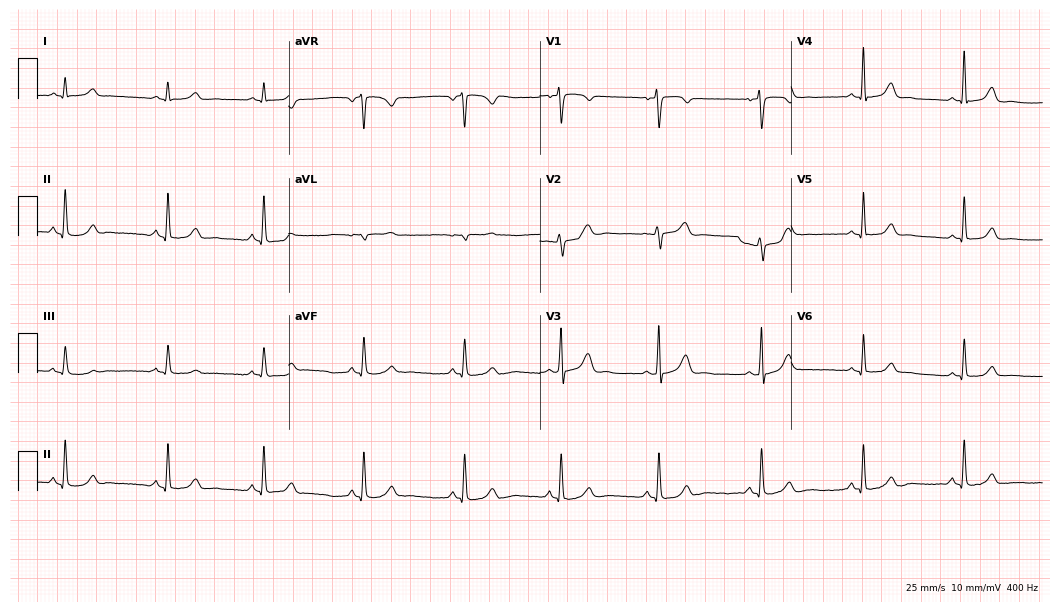
ECG — a 42-year-old female. Screened for six findings — first-degree AV block, right bundle branch block (RBBB), left bundle branch block (LBBB), sinus bradycardia, atrial fibrillation (AF), sinus tachycardia — none is recorded.